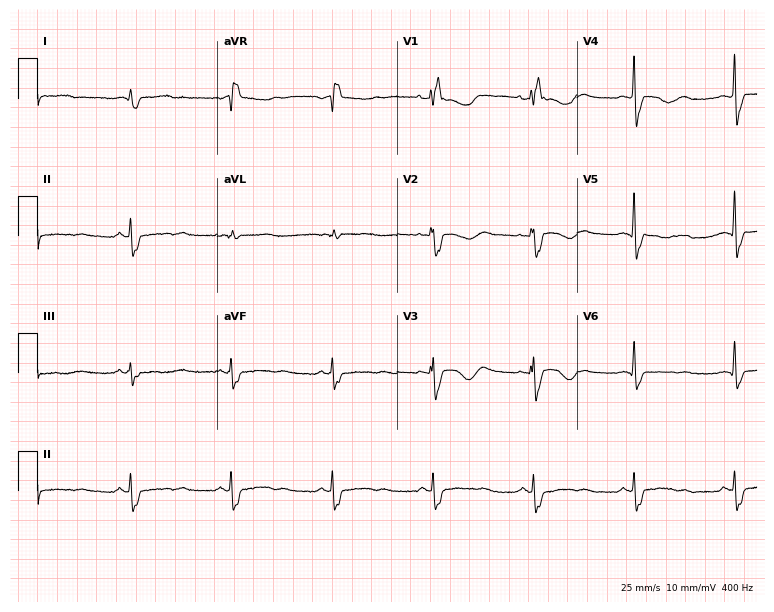
Electrocardiogram, a 51-year-old female. Interpretation includes right bundle branch block.